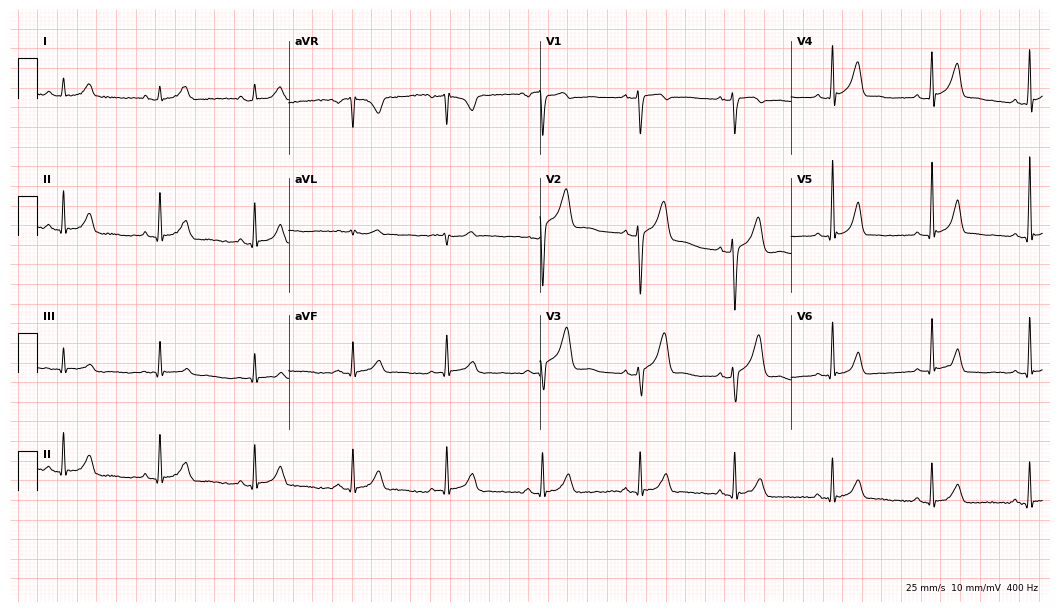
Resting 12-lead electrocardiogram. Patient: a 31-year-old male. None of these six findings is recorded: first-degree AV block, right bundle branch block, left bundle branch block, sinus bradycardia, atrial fibrillation, sinus tachycardia.